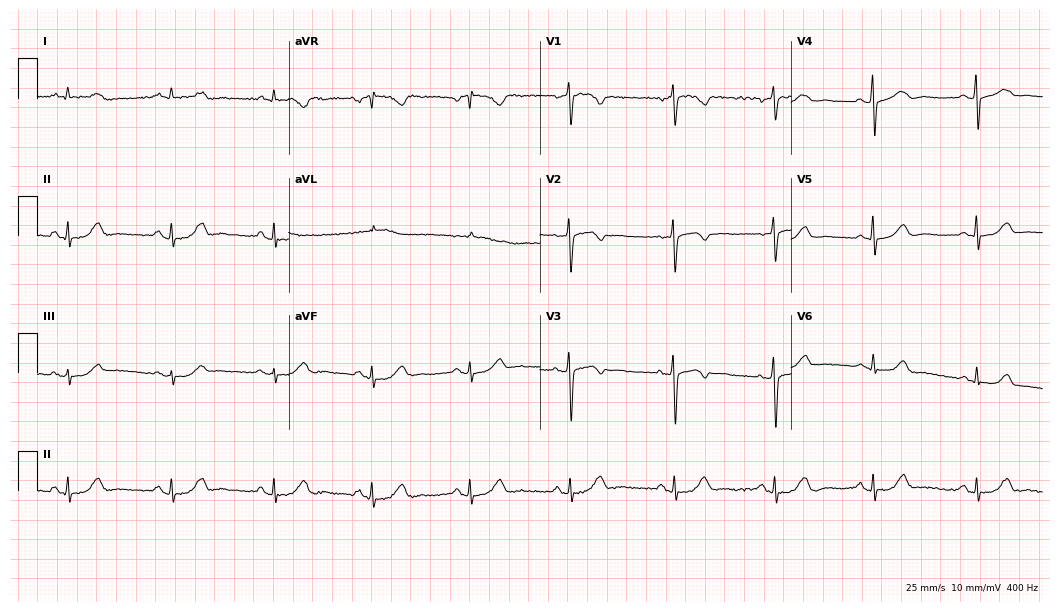
12-lead ECG from a 68-year-old female patient (10.2-second recording at 400 Hz). Recorded interpretation: within normal limits.